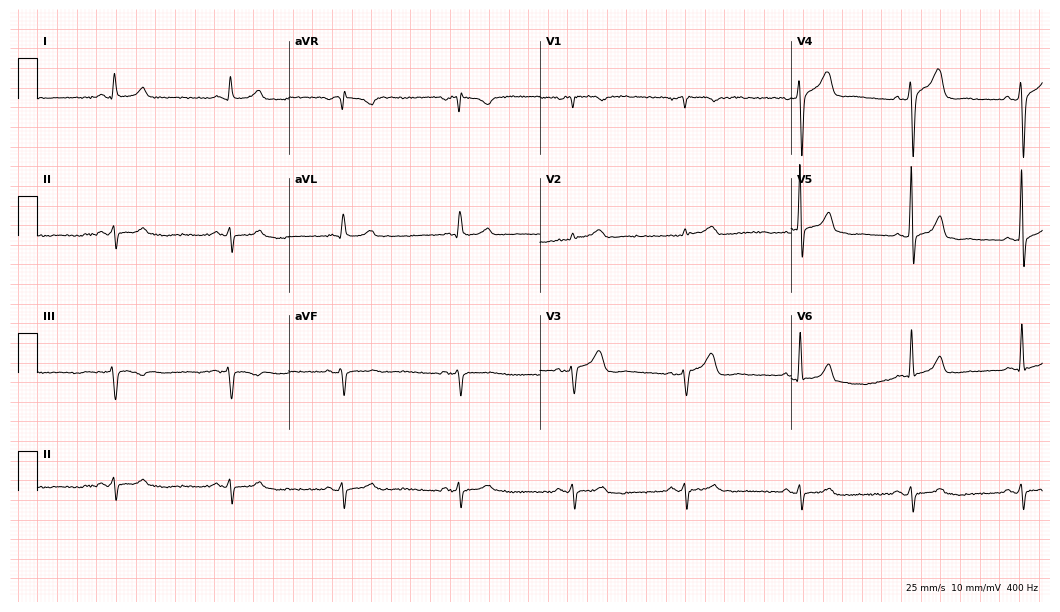
Electrocardiogram, a 62-year-old man. Of the six screened findings (first-degree AV block, right bundle branch block (RBBB), left bundle branch block (LBBB), sinus bradycardia, atrial fibrillation (AF), sinus tachycardia), none is recorded. Other findings, if any, are not listed.